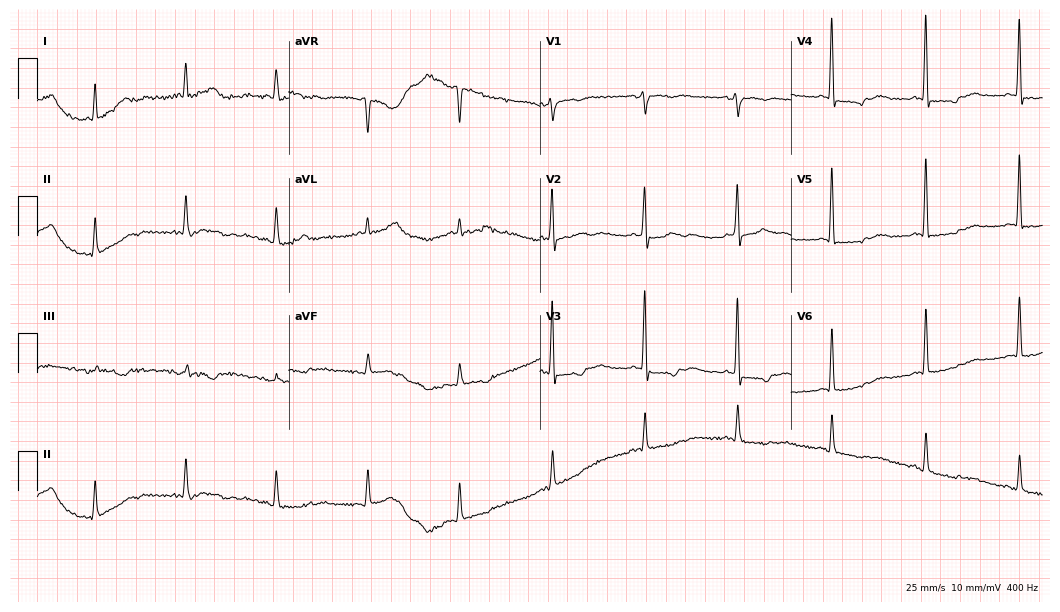
ECG (10.2-second recording at 400 Hz) — a woman, 77 years old. Screened for six findings — first-degree AV block, right bundle branch block, left bundle branch block, sinus bradycardia, atrial fibrillation, sinus tachycardia — none is recorded.